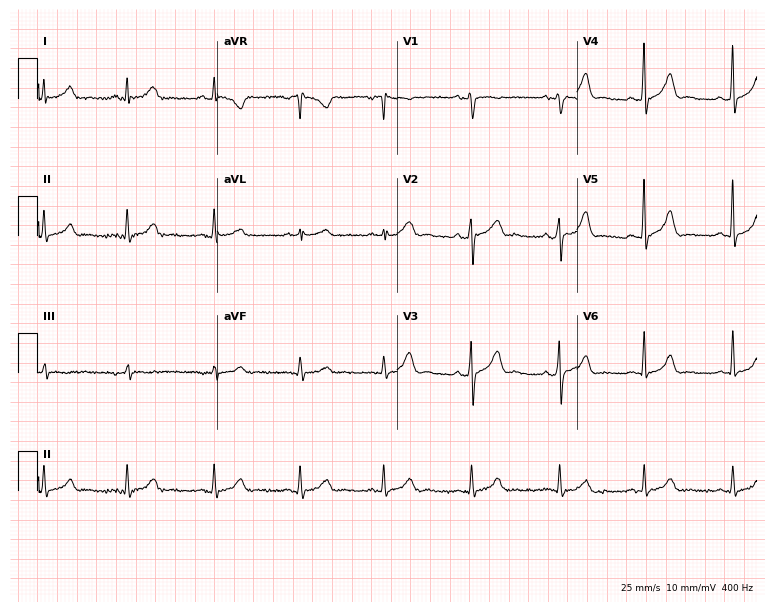
Standard 12-lead ECG recorded from a 33-year-old female patient (7.3-second recording at 400 Hz). Read as a normal ECG.